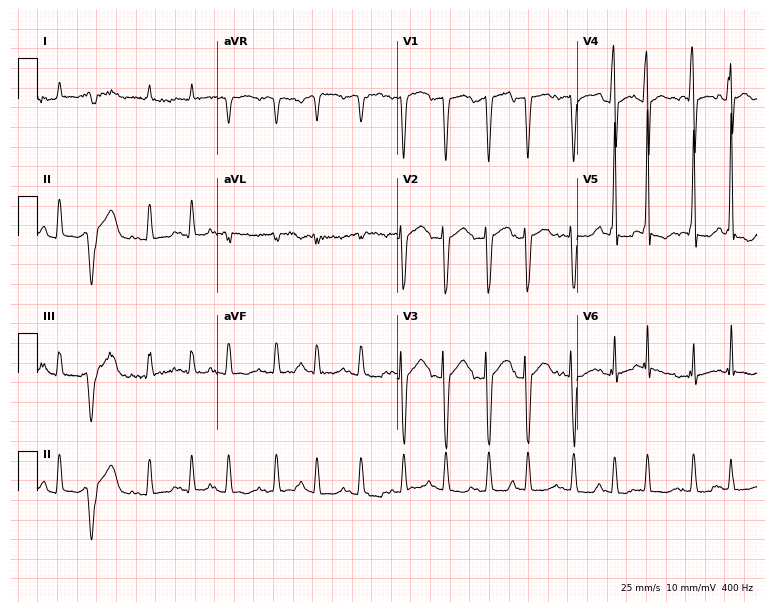
12-lead ECG from a 67-year-old man. Findings include atrial fibrillation, sinus tachycardia (a sinus rate of 100 beats per minute or more).